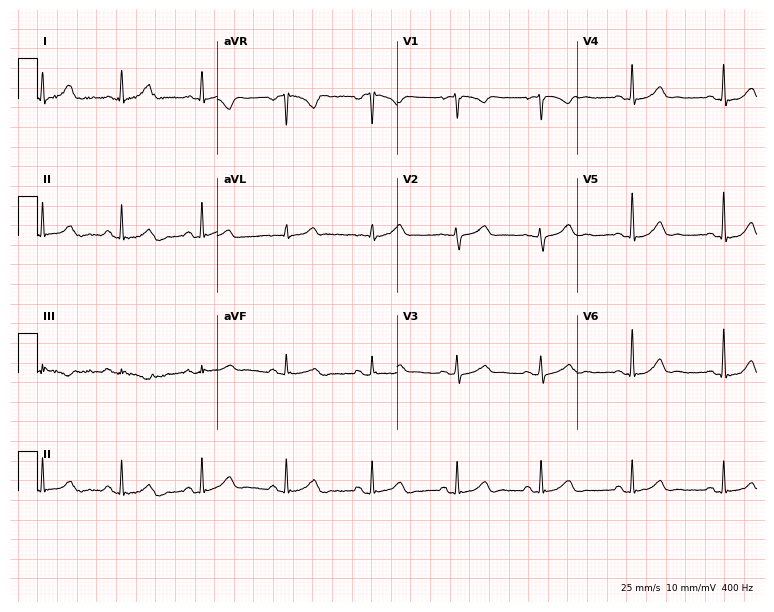
Electrocardiogram (7.3-second recording at 400 Hz), a 30-year-old woman. Overall reading on record: normal ECG.